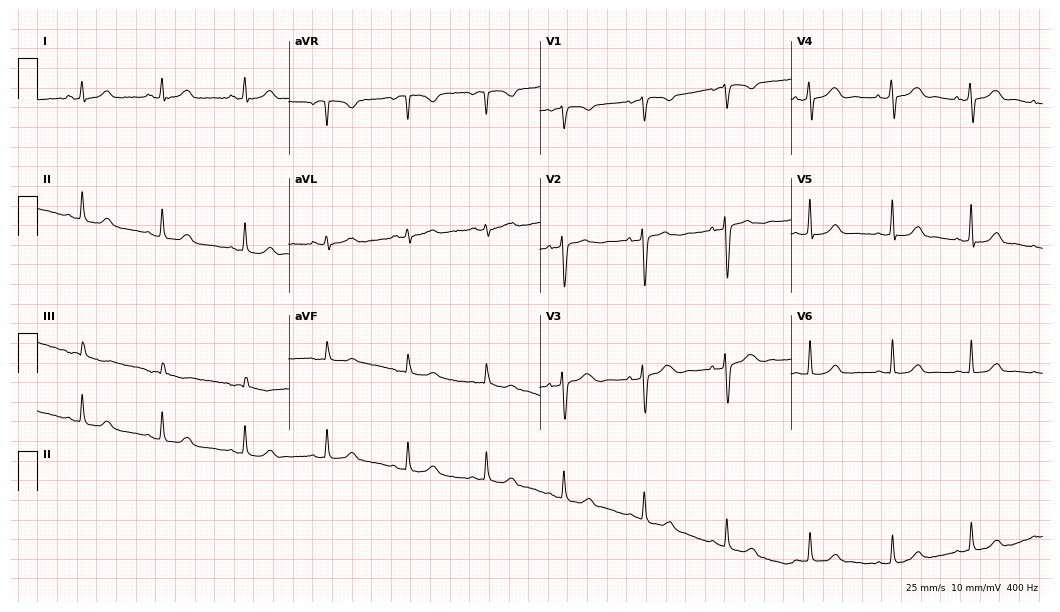
ECG (10.2-second recording at 400 Hz) — a 36-year-old woman. Labelled as a normal ECG.